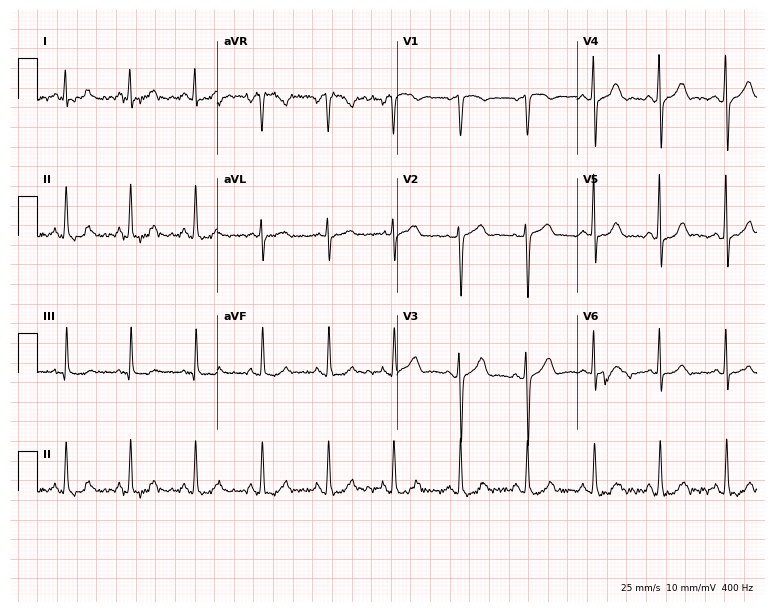
12-lead ECG from a woman, 47 years old. Labelled as a normal ECG.